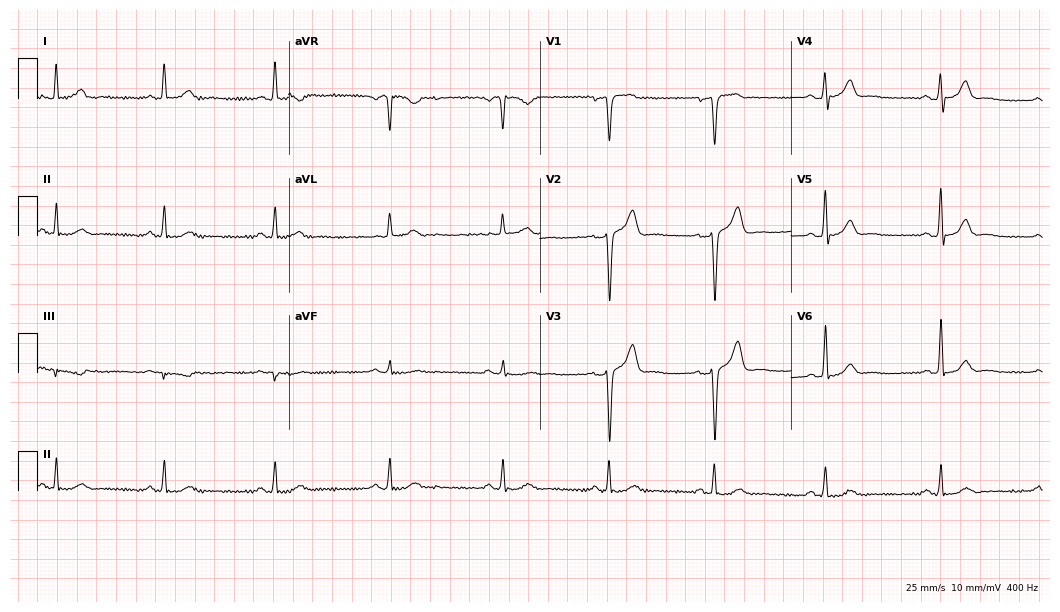
12-lead ECG from a man, 54 years old. No first-degree AV block, right bundle branch block, left bundle branch block, sinus bradycardia, atrial fibrillation or sinus tachycardia recorded for this tracing. Findings outside these six are not listed.